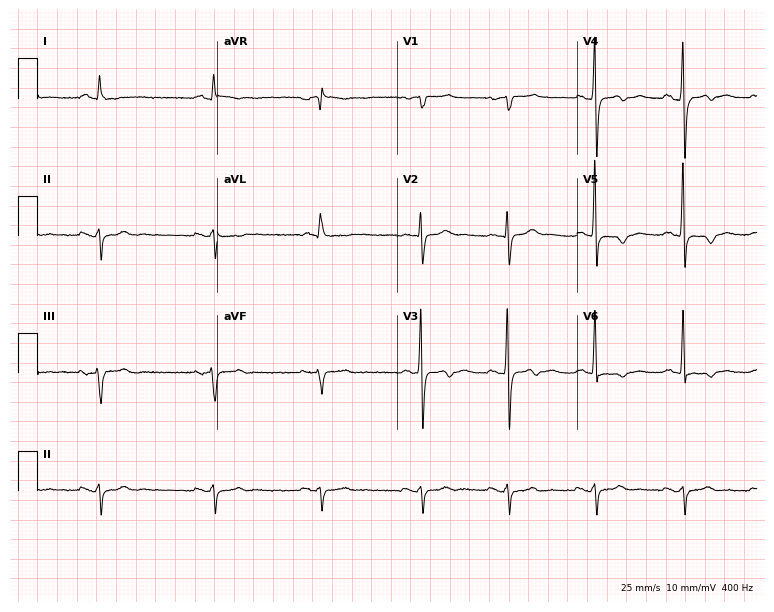
Electrocardiogram, a 58-year-old male patient. Of the six screened findings (first-degree AV block, right bundle branch block, left bundle branch block, sinus bradycardia, atrial fibrillation, sinus tachycardia), none is recorded.